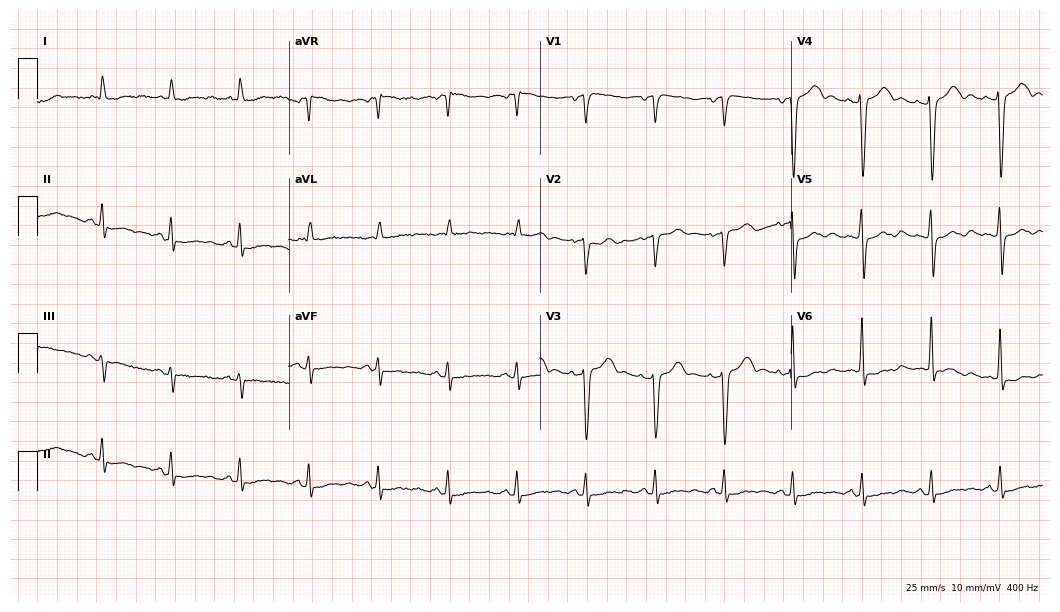
Resting 12-lead electrocardiogram. Patient: a male, 55 years old. None of these six findings is recorded: first-degree AV block, right bundle branch block, left bundle branch block, sinus bradycardia, atrial fibrillation, sinus tachycardia.